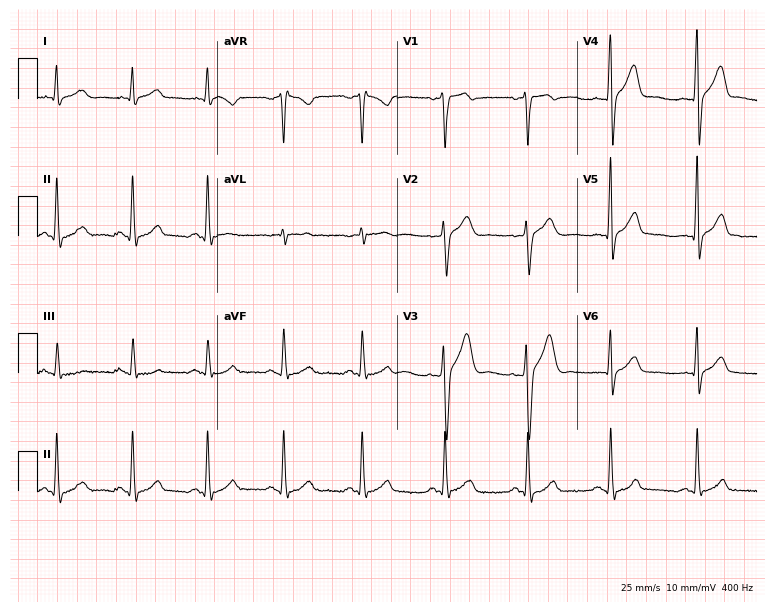
Resting 12-lead electrocardiogram. Patient: a male, 45 years old. Read as a normal ECG.